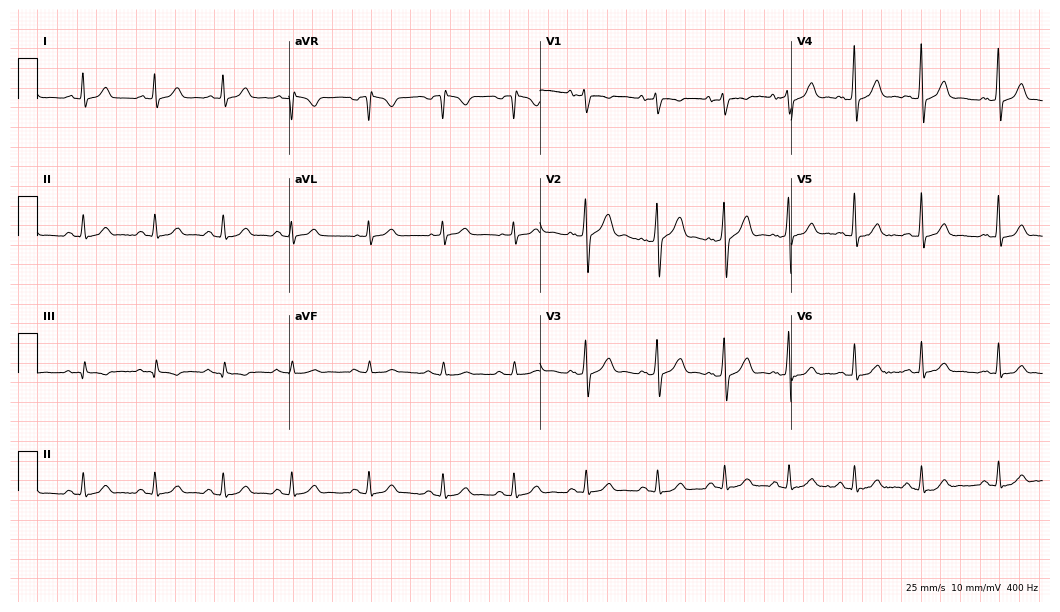
Electrocardiogram (10.2-second recording at 400 Hz), a 41-year-old male patient. Overall reading on record: normal ECG.